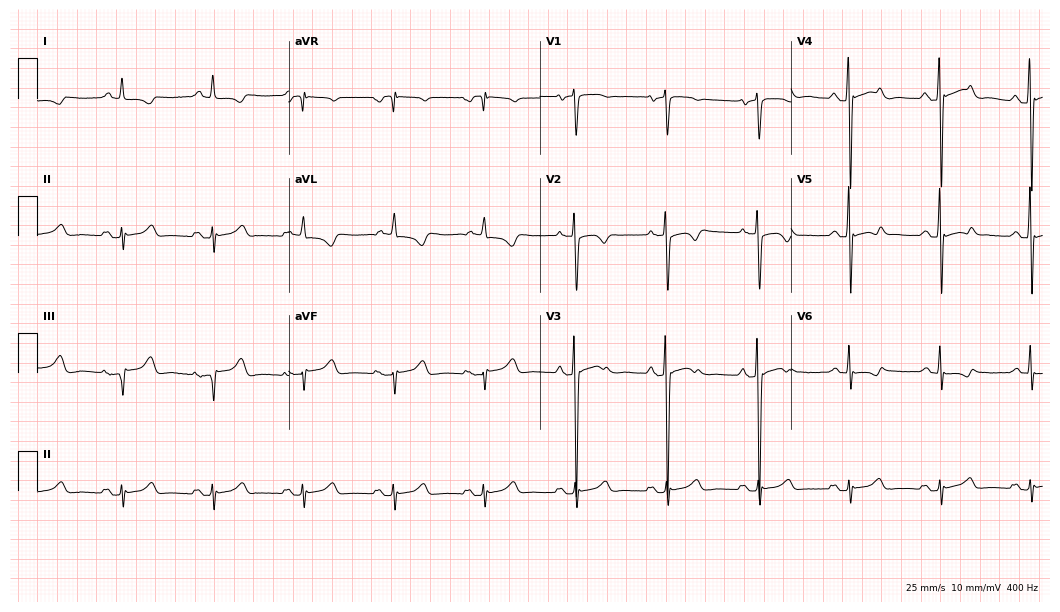
Resting 12-lead electrocardiogram. Patient: a 68-year-old man. None of these six findings is recorded: first-degree AV block, right bundle branch block, left bundle branch block, sinus bradycardia, atrial fibrillation, sinus tachycardia. Only these six findings were labelled.